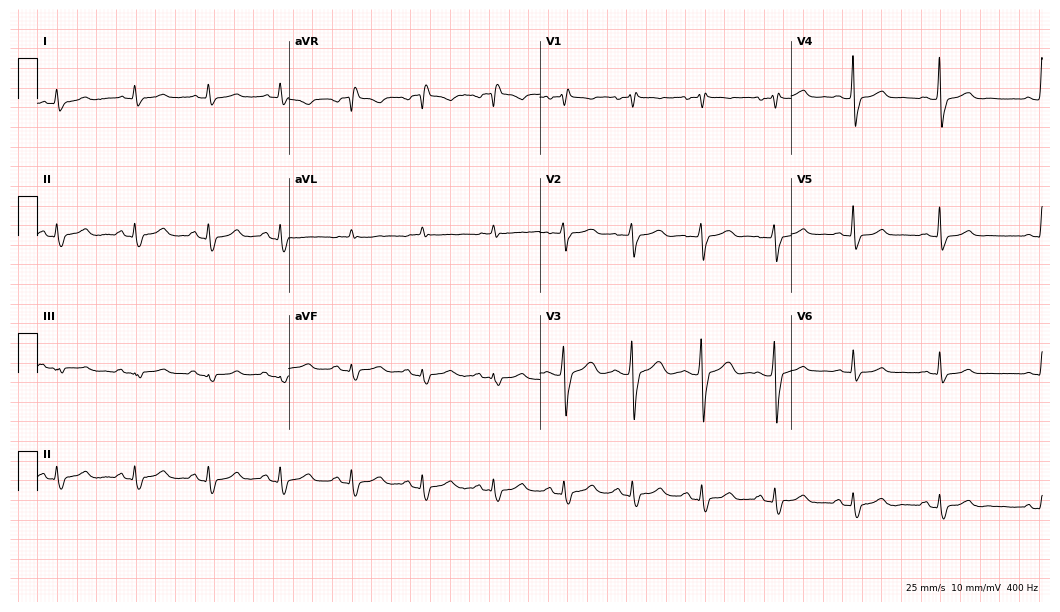
Electrocardiogram (10.2-second recording at 400 Hz), a 55-year-old female patient. Of the six screened findings (first-degree AV block, right bundle branch block (RBBB), left bundle branch block (LBBB), sinus bradycardia, atrial fibrillation (AF), sinus tachycardia), none is recorded. Findings outside these six are not listed.